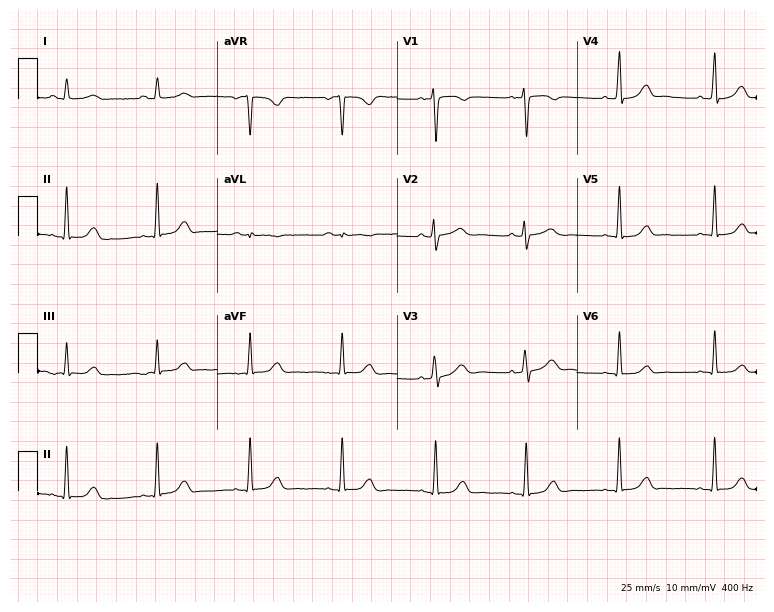
12-lead ECG from a 49-year-old female. Screened for six findings — first-degree AV block, right bundle branch block (RBBB), left bundle branch block (LBBB), sinus bradycardia, atrial fibrillation (AF), sinus tachycardia — none is recorded. Only these six findings were labelled.